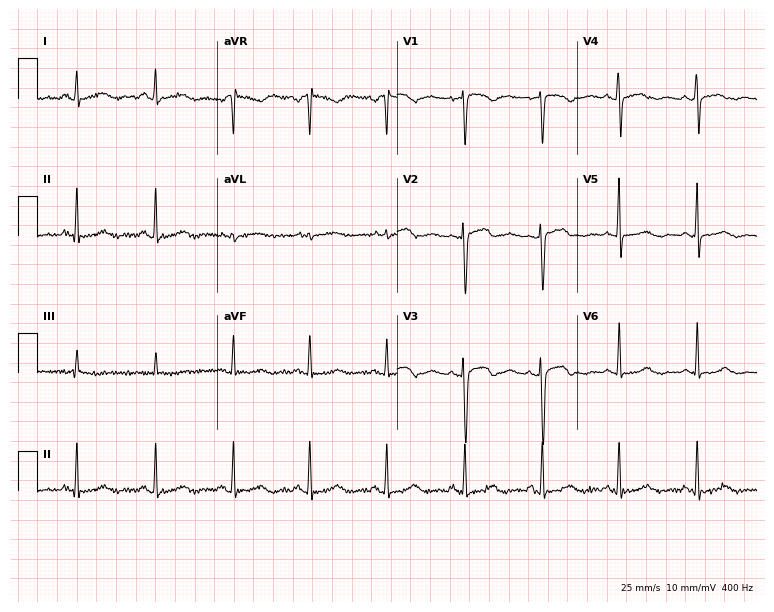
Resting 12-lead electrocardiogram (7.3-second recording at 400 Hz). Patient: a woman, 37 years old. Read as a normal ECG.